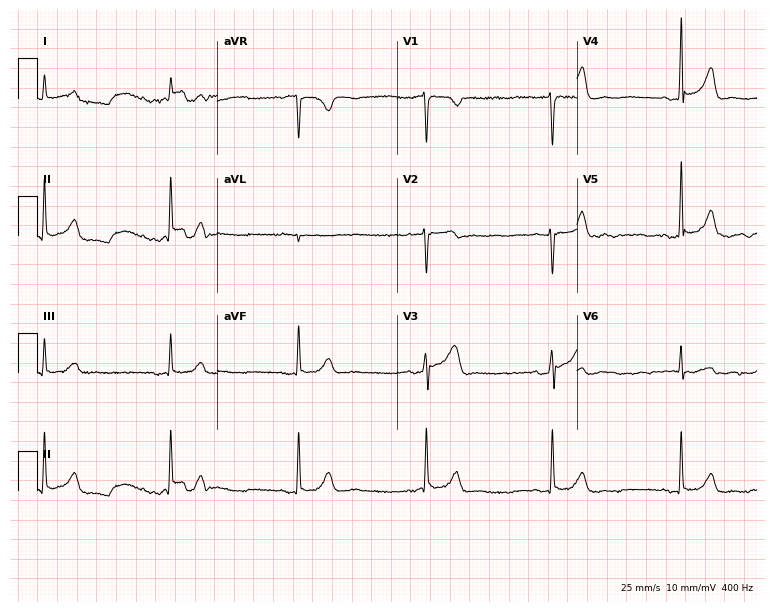
Electrocardiogram (7.3-second recording at 400 Hz), a 54-year-old male patient. Interpretation includes sinus bradycardia (a sinus rate of 50 beats per minute or less).